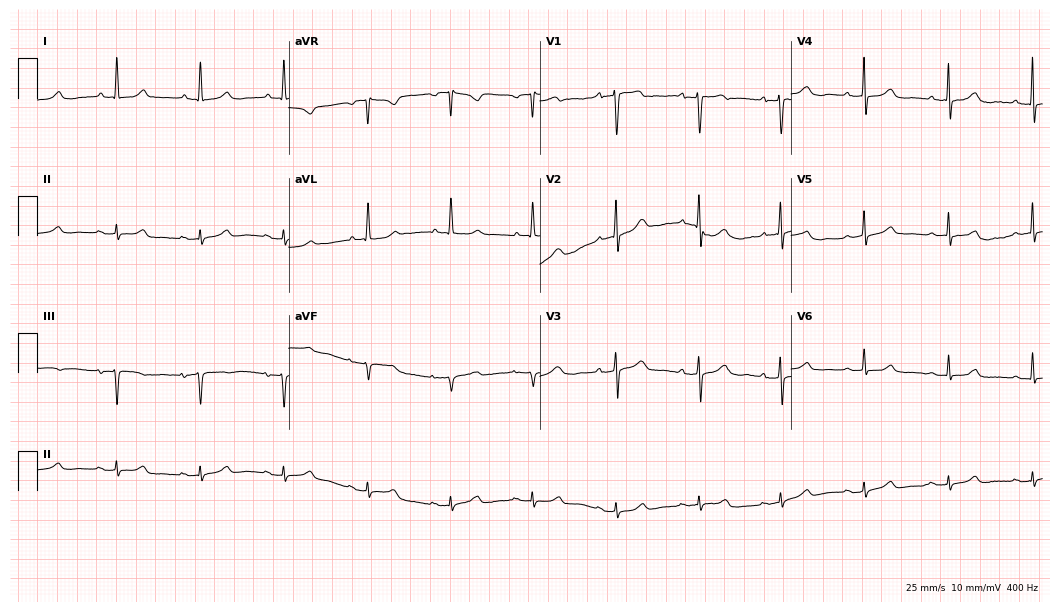
Standard 12-lead ECG recorded from a 73-year-old male patient (10.2-second recording at 400 Hz). Read as a normal ECG.